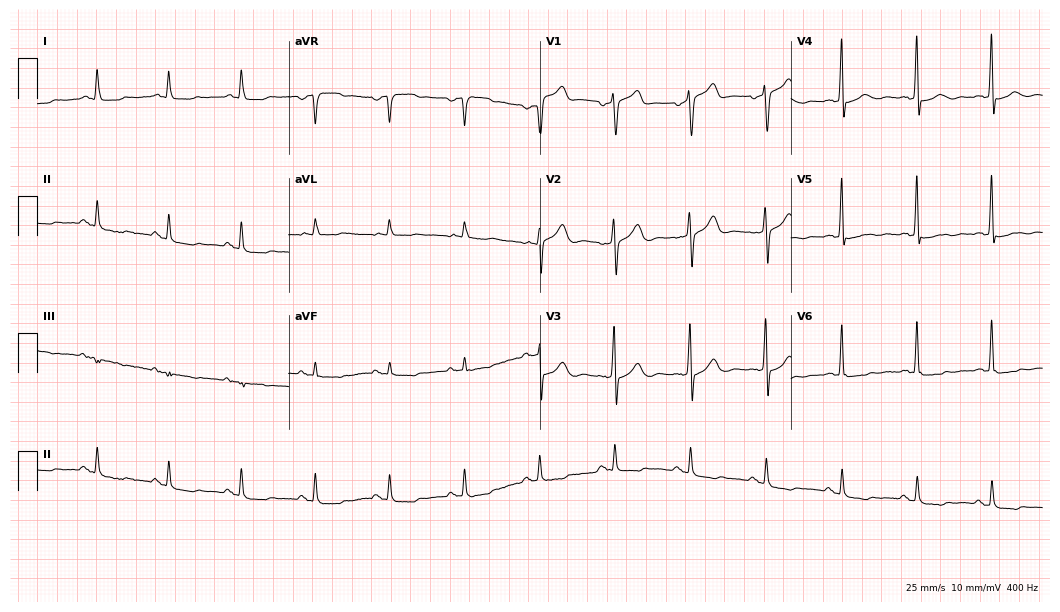
12-lead ECG from a 68-year-old male (10.2-second recording at 400 Hz). No first-degree AV block, right bundle branch block, left bundle branch block, sinus bradycardia, atrial fibrillation or sinus tachycardia recorded for this tracing. Other findings, if any, are not listed.